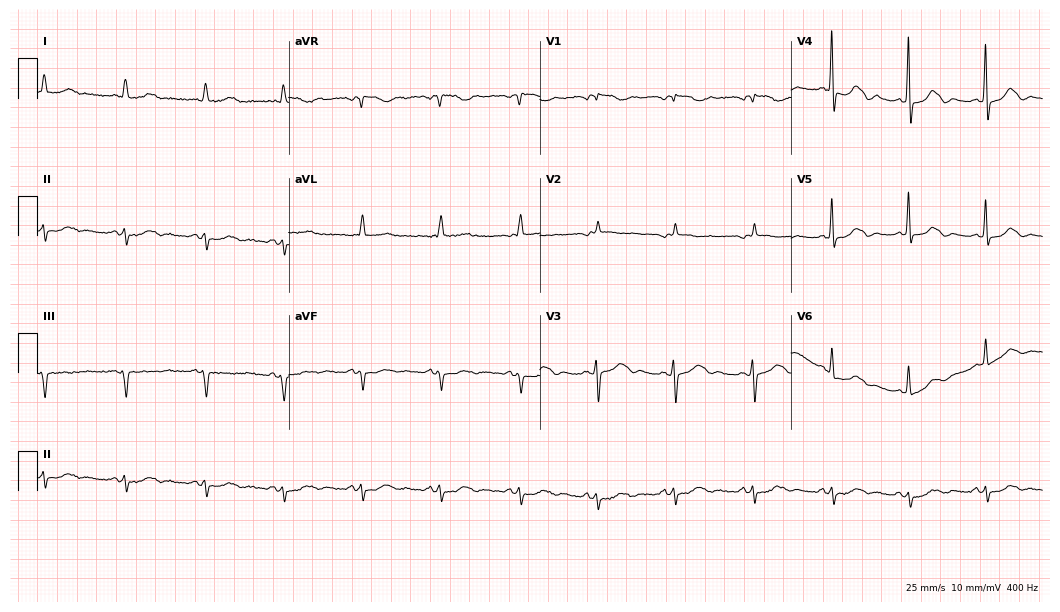
Resting 12-lead electrocardiogram. Patient: a 74-year-old female. None of these six findings is recorded: first-degree AV block, right bundle branch block, left bundle branch block, sinus bradycardia, atrial fibrillation, sinus tachycardia. Findings outside these six are not listed.